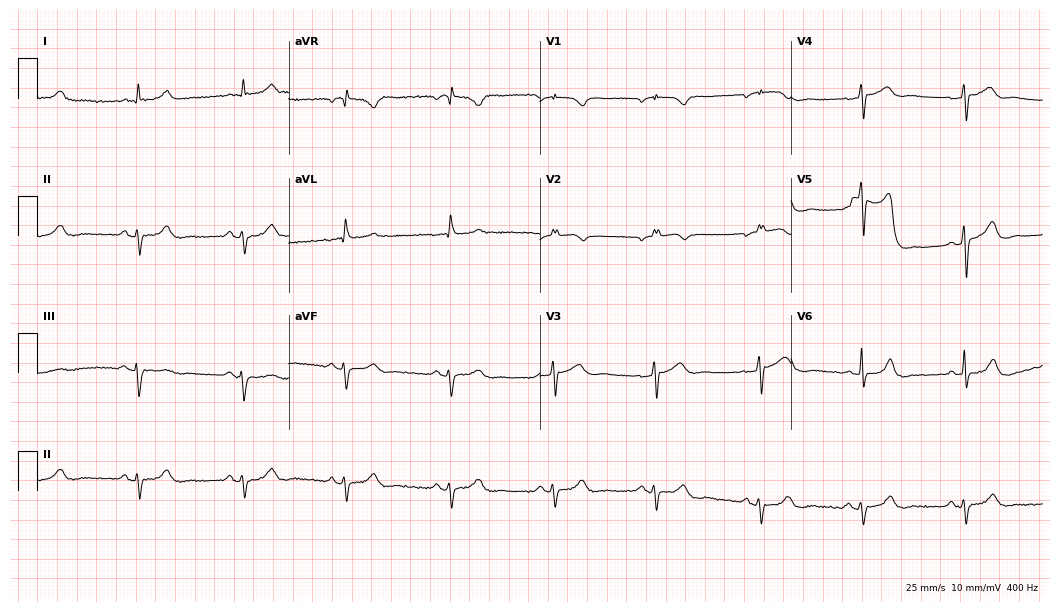
Resting 12-lead electrocardiogram. Patient: a female, 70 years old. None of these six findings is recorded: first-degree AV block, right bundle branch block (RBBB), left bundle branch block (LBBB), sinus bradycardia, atrial fibrillation (AF), sinus tachycardia. Findings outside these six are not listed.